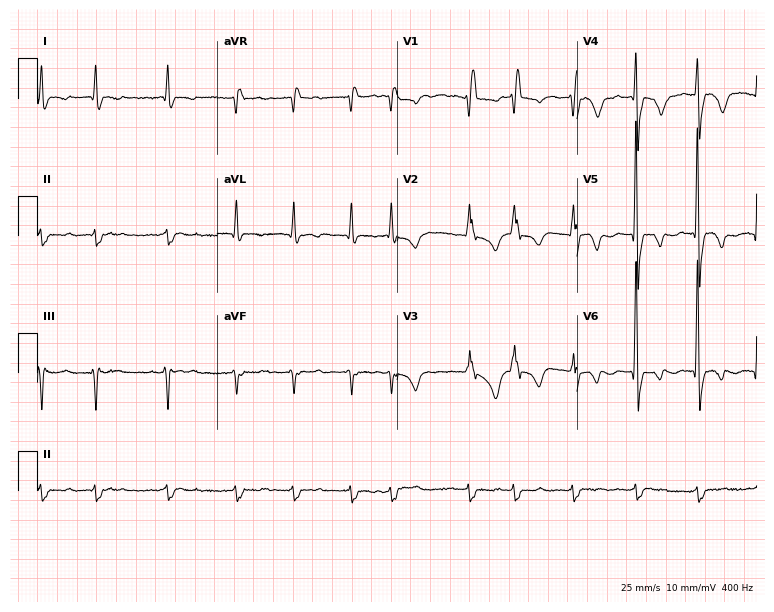
Resting 12-lead electrocardiogram (7.3-second recording at 400 Hz). Patient: a man, 77 years old. None of these six findings is recorded: first-degree AV block, right bundle branch block (RBBB), left bundle branch block (LBBB), sinus bradycardia, atrial fibrillation (AF), sinus tachycardia. Findings outside these six are not listed.